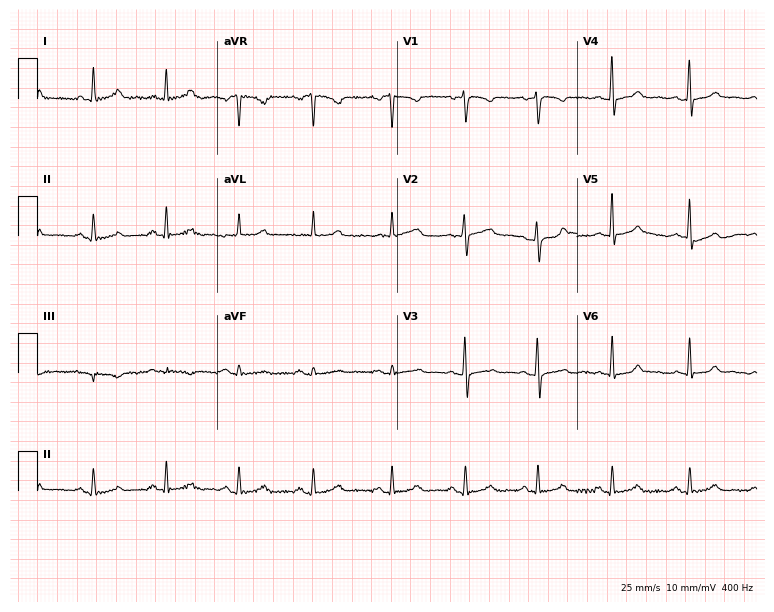
Standard 12-lead ECG recorded from a 33-year-old woman. None of these six findings is recorded: first-degree AV block, right bundle branch block (RBBB), left bundle branch block (LBBB), sinus bradycardia, atrial fibrillation (AF), sinus tachycardia.